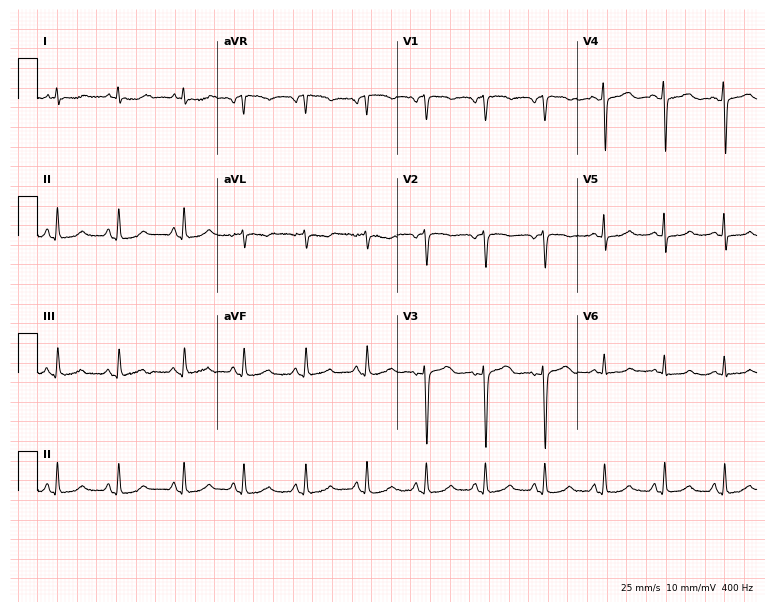
Electrocardiogram (7.3-second recording at 400 Hz), a woman, 56 years old. Of the six screened findings (first-degree AV block, right bundle branch block (RBBB), left bundle branch block (LBBB), sinus bradycardia, atrial fibrillation (AF), sinus tachycardia), none is recorded. Only these six findings were labelled.